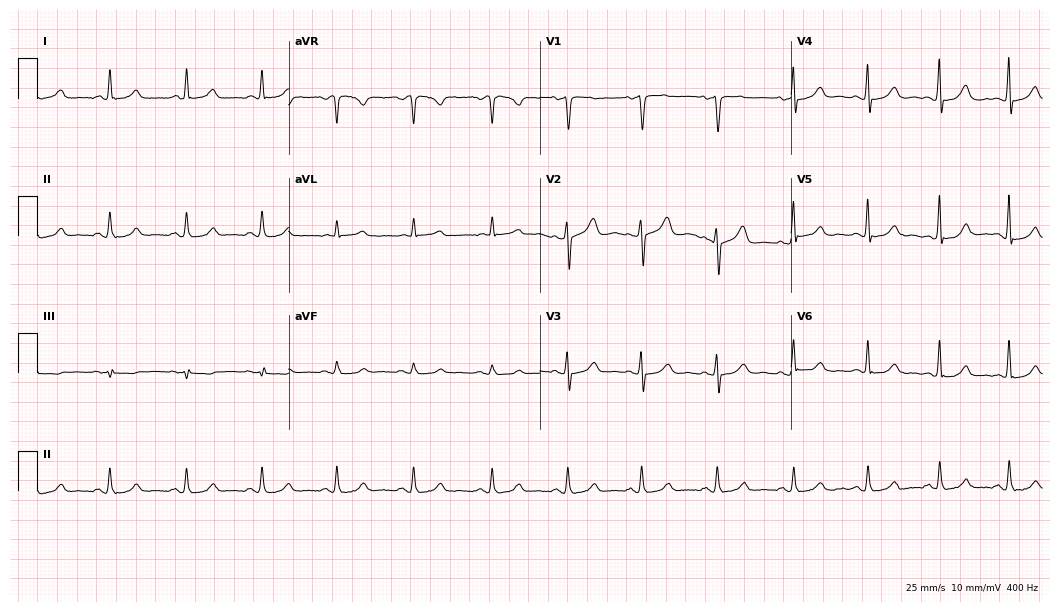
12-lead ECG from a 57-year-old female patient. Recorded interpretation: within normal limits.